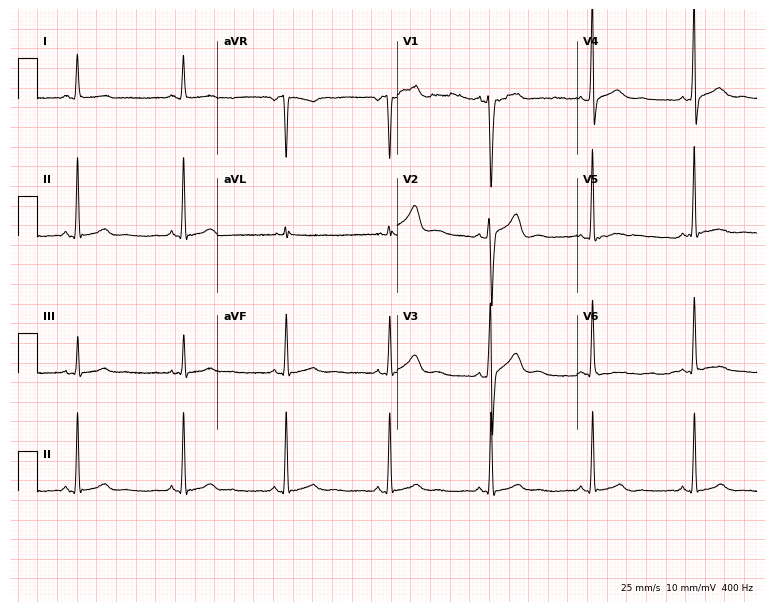
ECG — a 53-year-old male. Screened for six findings — first-degree AV block, right bundle branch block (RBBB), left bundle branch block (LBBB), sinus bradycardia, atrial fibrillation (AF), sinus tachycardia — none is recorded. Other findings, if any, are not listed.